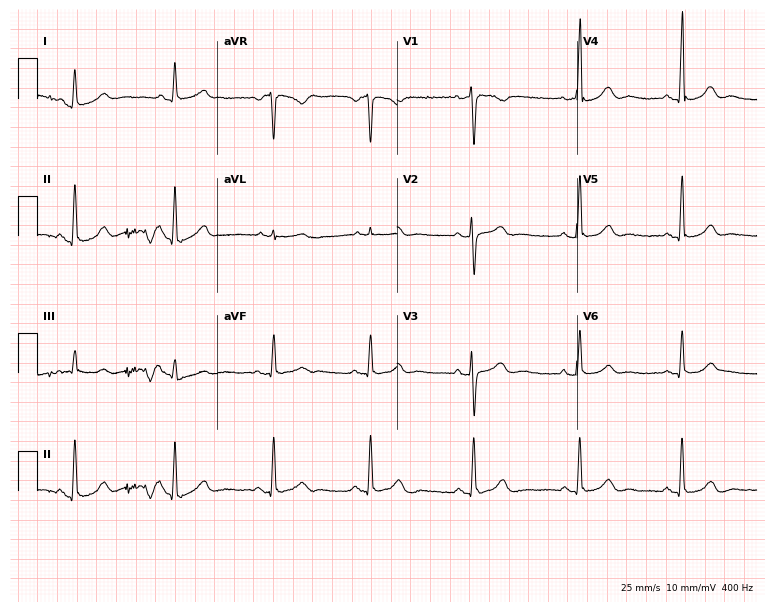
Resting 12-lead electrocardiogram (7.3-second recording at 400 Hz). Patient: a female, 56 years old. None of these six findings is recorded: first-degree AV block, right bundle branch block (RBBB), left bundle branch block (LBBB), sinus bradycardia, atrial fibrillation (AF), sinus tachycardia.